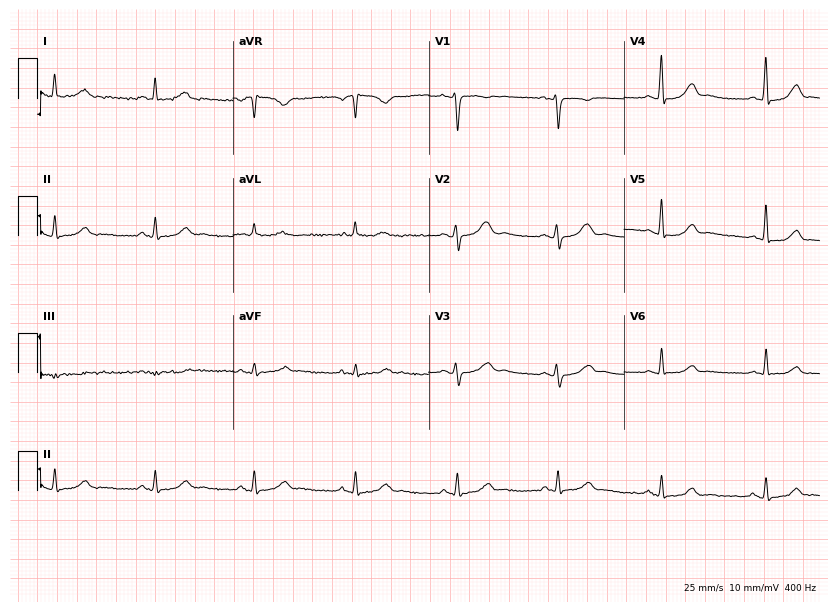
Standard 12-lead ECG recorded from a 41-year-old female patient (8-second recording at 400 Hz). None of these six findings is recorded: first-degree AV block, right bundle branch block, left bundle branch block, sinus bradycardia, atrial fibrillation, sinus tachycardia.